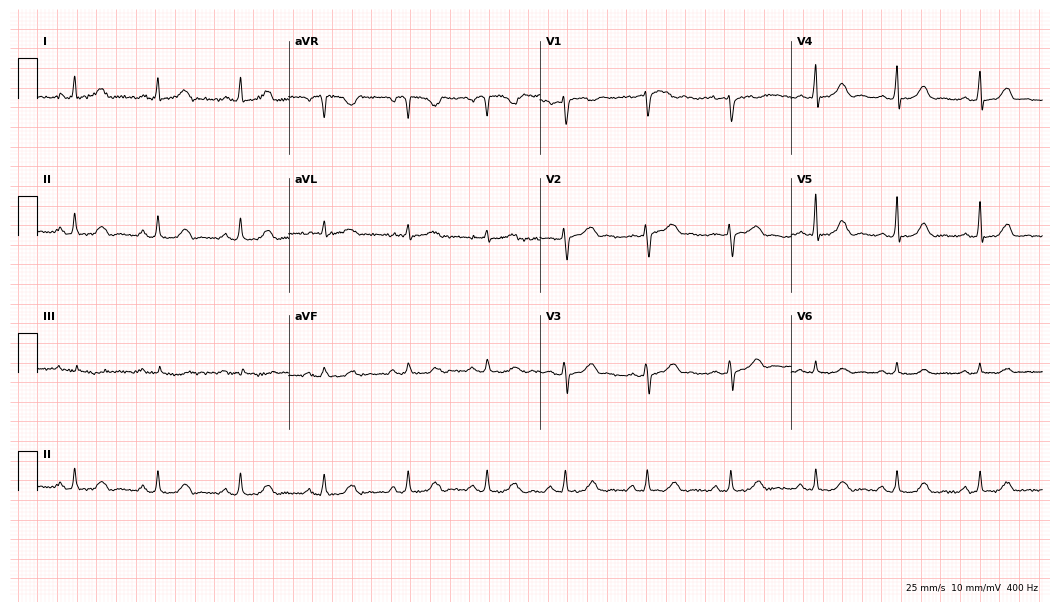
Electrocardiogram (10.2-second recording at 400 Hz), a 52-year-old female patient. Of the six screened findings (first-degree AV block, right bundle branch block, left bundle branch block, sinus bradycardia, atrial fibrillation, sinus tachycardia), none is recorded.